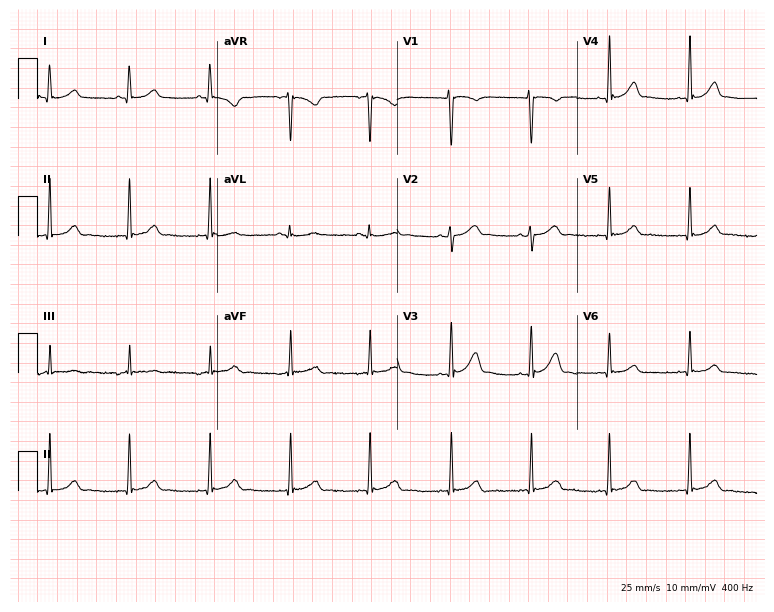
ECG (7.3-second recording at 400 Hz) — a woman, 21 years old. Screened for six findings — first-degree AV block, right bundle branch block, left bundle branch block, sinus bradycardia, atrial fibrillation, sinus tachycardia — none is recorded.